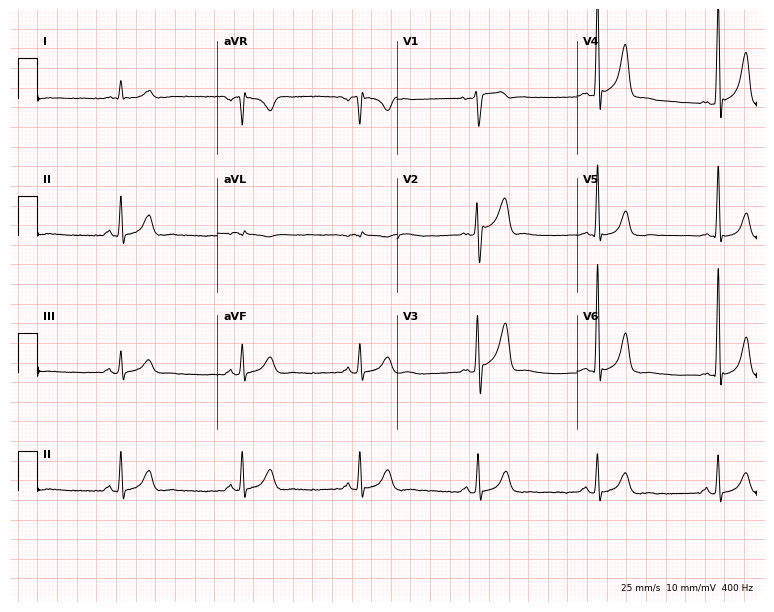
12-lead ECG from a male, 70 years old (7.3-second recording at 400 Hz). No first-degree AV block, right bundle branch block (RBBB), left bundle branch block (LBBB), sinus bradycardia, atrial fibrillation (AF) or sinus tachycardia recorded for this tracing. Findings outside these six are not listed.